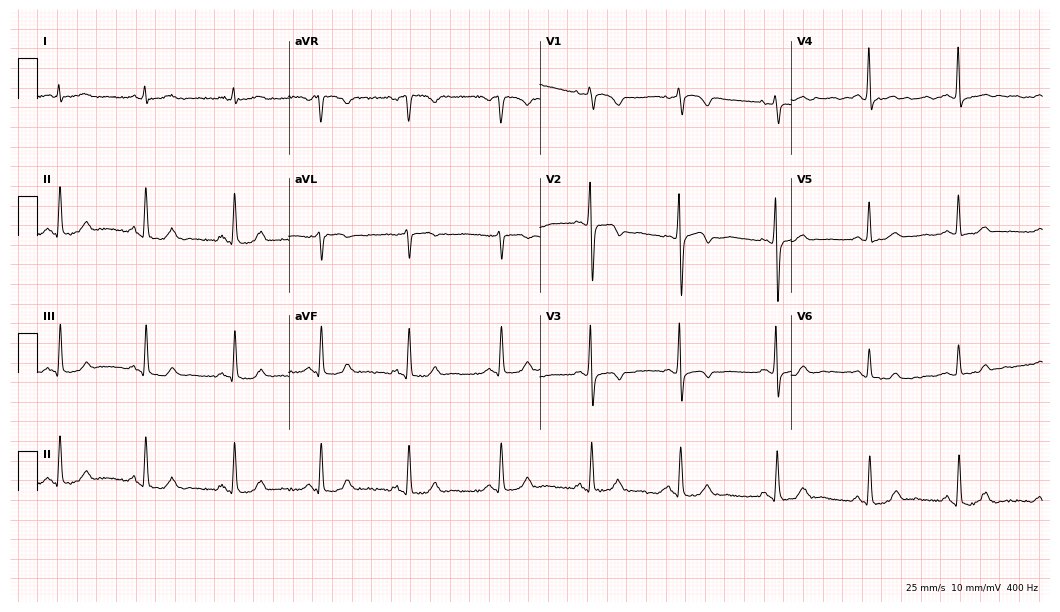
Standard 12-lead ECG recorded from a female, 60 years old (10.2-second recording at 400 Hz). Read as a normal ECG.